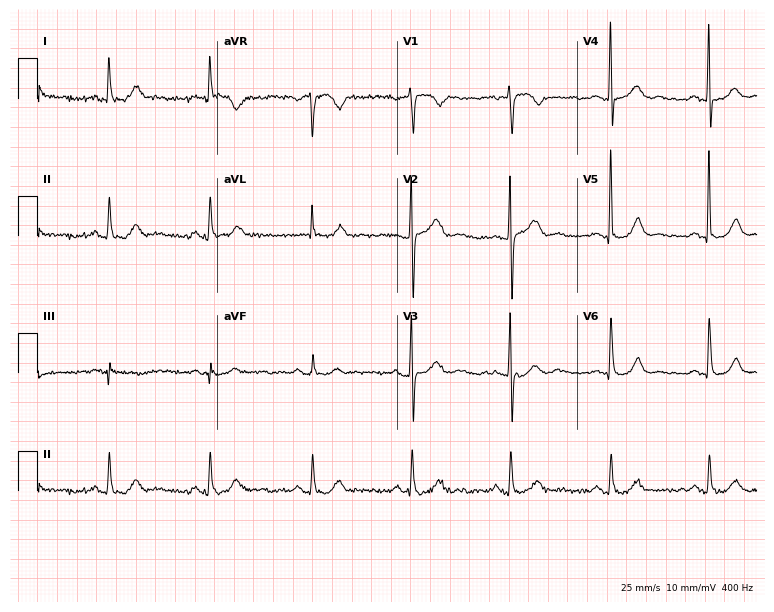
ECG (7.3-second recording at 400 Hz) — a man, 84 years old. Labelled as a normal ECG.